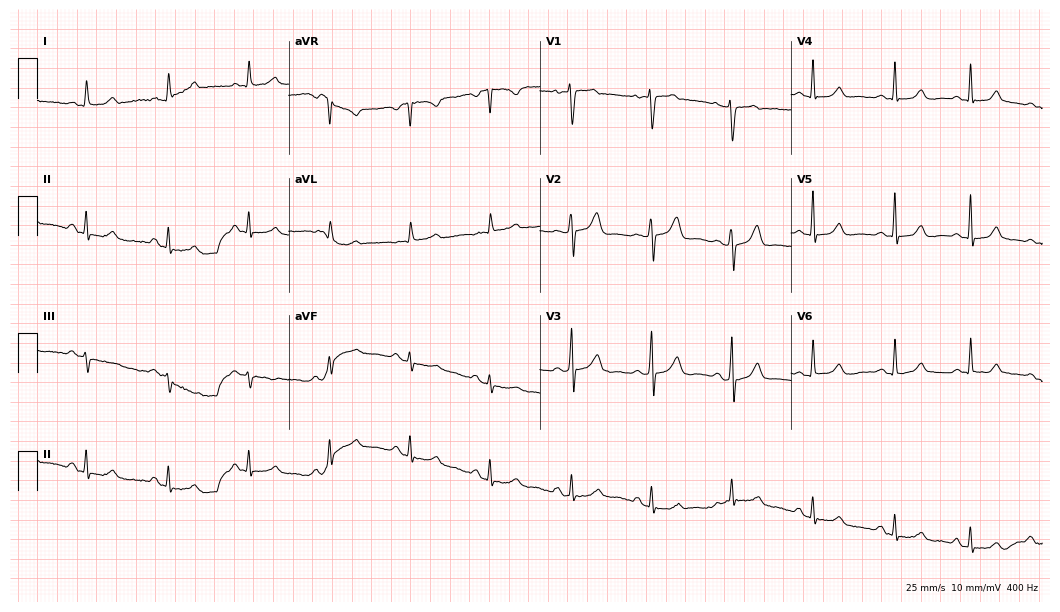
Resting 12-lead electrocardiogram (10.2-second recording at 400 Hz). Patient: a 57-year-old female. None of these six findings is recorded: first-degree AV block, right bundle branch block, left bundle branch block, sinus bradycardia, atrial fibrillation, sinus tachycardia.